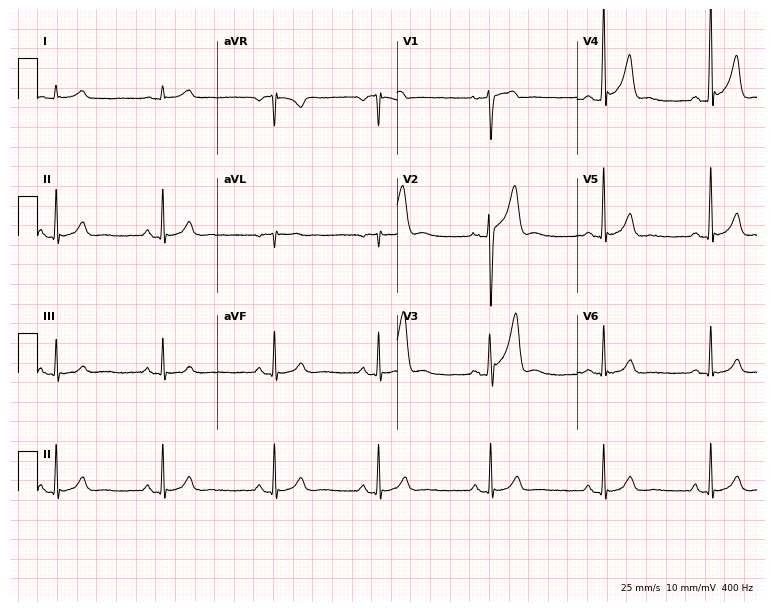
Electrocardiogram, a male, 32 years old. Overall reading on record: normal ECG.